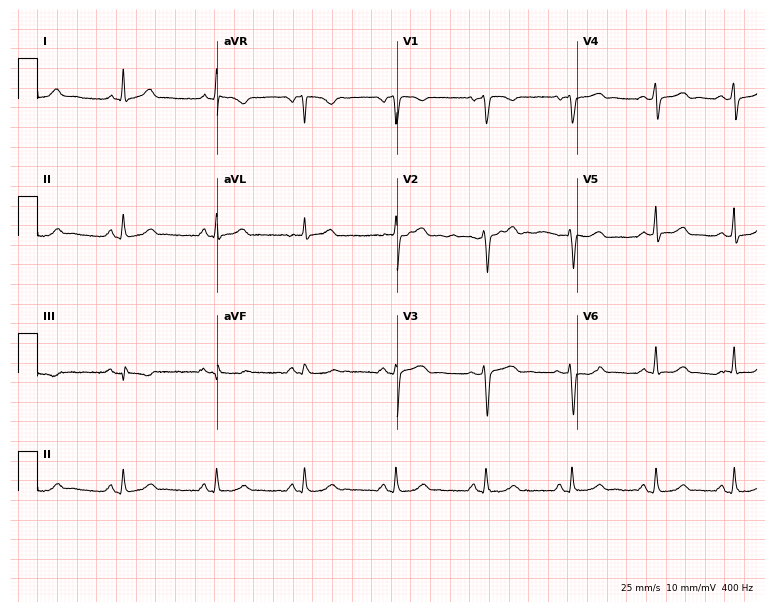
Standard 12-lead ECG recorded from a female patient, 45 years old (7.3-second recording at 400 Hz). Read as a normal ECG.